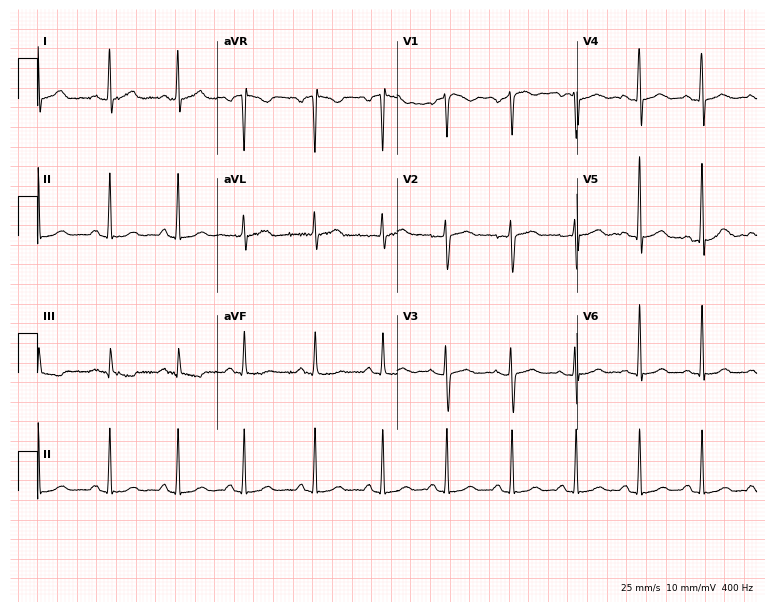
Electrocardiogram (7.3-second recording at 400 Hz), a woman, 37 years old. Overall reading on record: normal ECG.